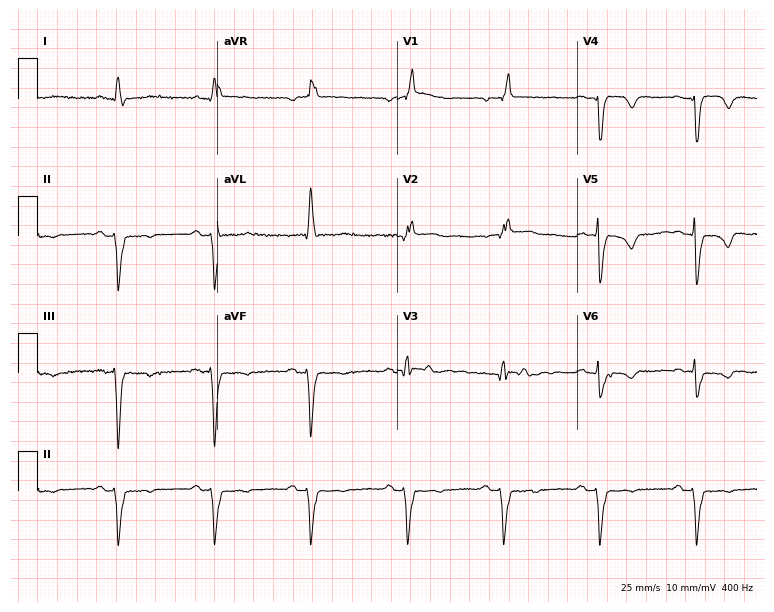
12-lead ECG from a male patient, 76 years old. No first-degree AV block, right bundle branch block (RBBB), left bundle branch block (LBBB), sinus bradycardia, atrial fibrillation (AF) or sinus tachycardia recorded for this tracing. Other findings, if any, are not listed.